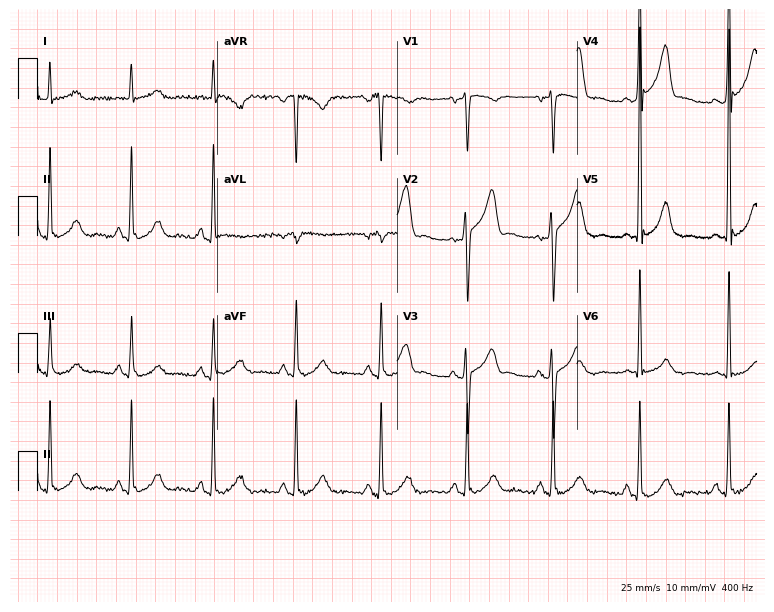
Resting 12-lead electrocardiogram. Patient: a 49-year-old man. None of these six findings is recorded: first-degree AV block, right bundle branch block, left bundle branch block, sinus bradycardia, atrial fibrillation, sinus tachycardia.